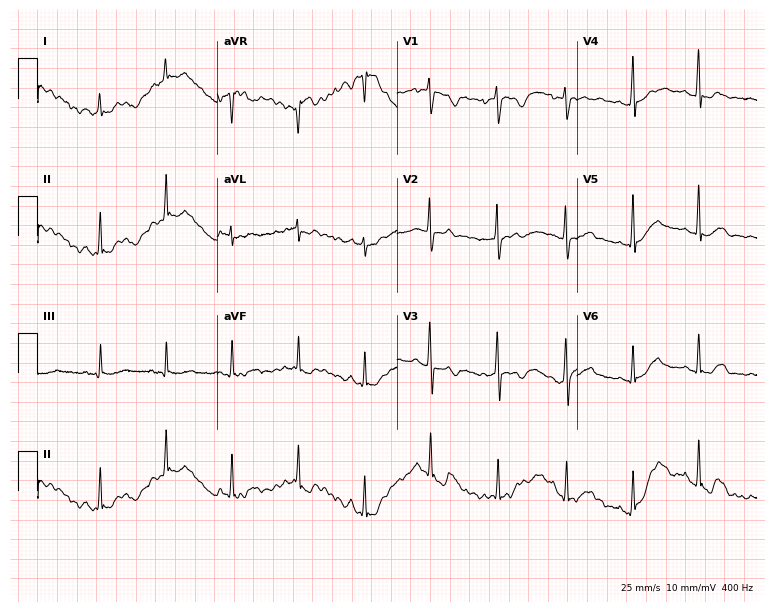
Resting 12-lead electrocardiogram. Patient: a female, 32 years old. None of these six findings is recorded: first-degree AV block, right bundle branch block, left bundle branch block, sinus bradycardia, atrial fibrillation, sinus tachycardia.